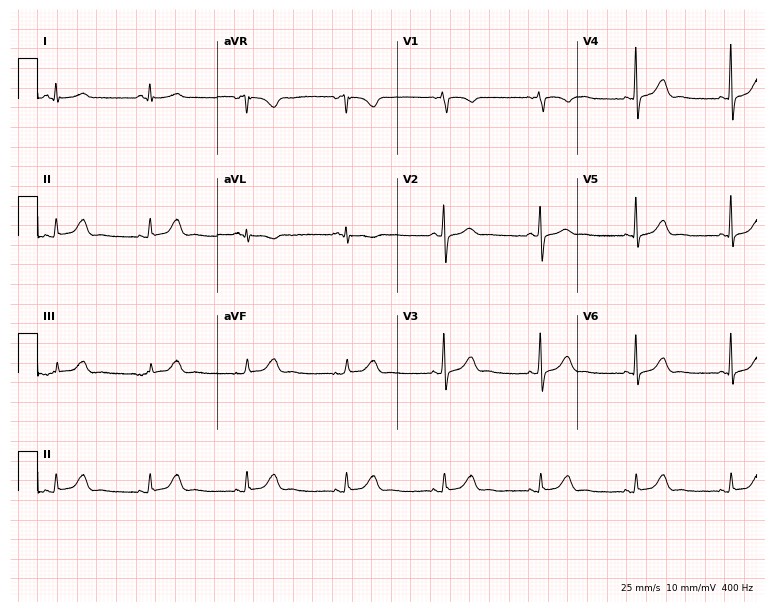
Resting 12-lead electrocardiogram. Patient: a female, 41 years old. Read as a normal ECG.